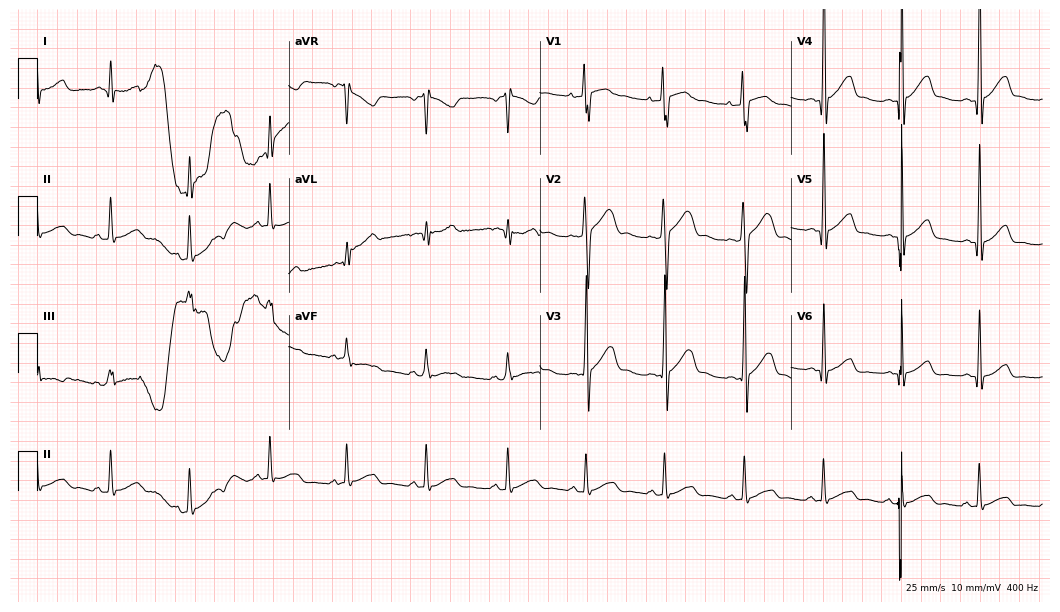
Resting 12-lead electrocardiogram. Patient: a man, 18 years old. Read as a normal ECG.